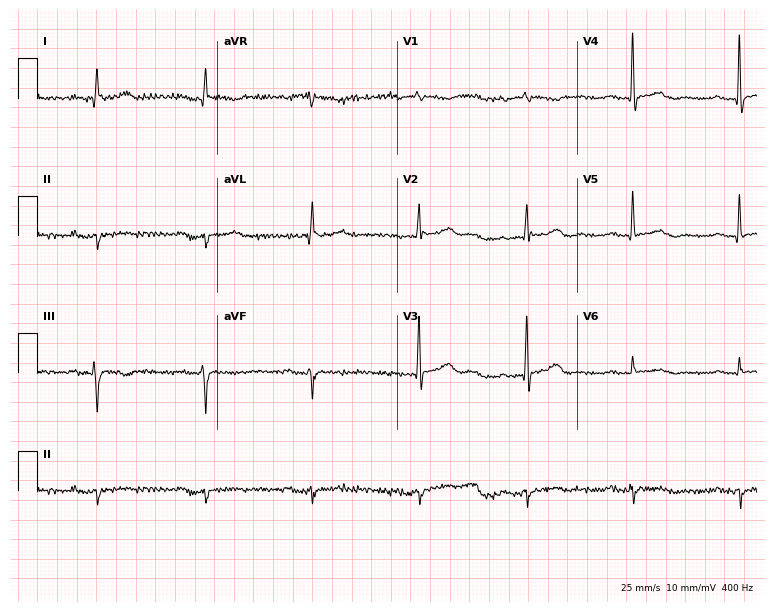
12-lead ECG from an 82-year-old man (7.3-second recording at 400 Hz). No first-degree AV block, right bundle branch block, left bundle branch block, sinus bradycardia, atrial fibrillation or sinus tachycardia recorded for this tracing. Findings outside these six are not listed.